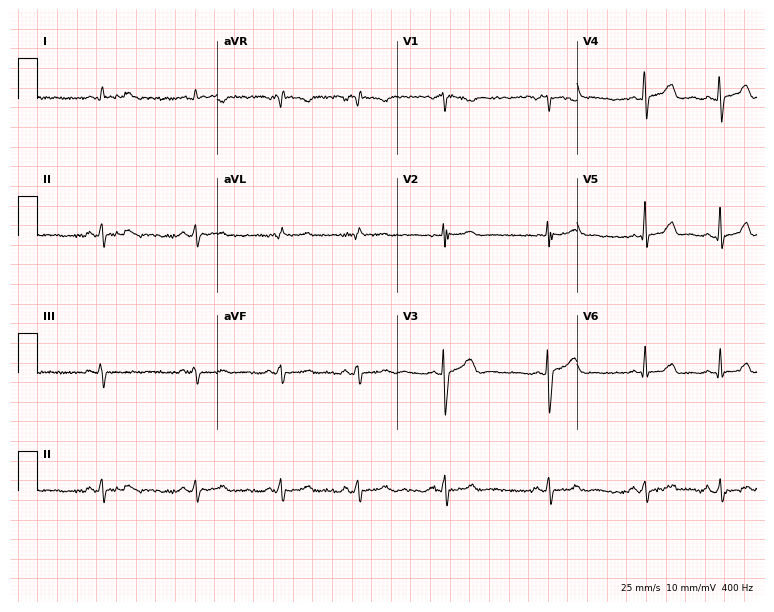
Standard 12-lead ECG recorded from a 23-year-old female patient (7.3-second recording at 400 Hz). None of these six findings is recorded: first-degree AV block, right bundle branch block, left bundle branch block, sinus bradycardia, atrial fibrillation, sinus tachycardia. Findings outside these six are not listed.